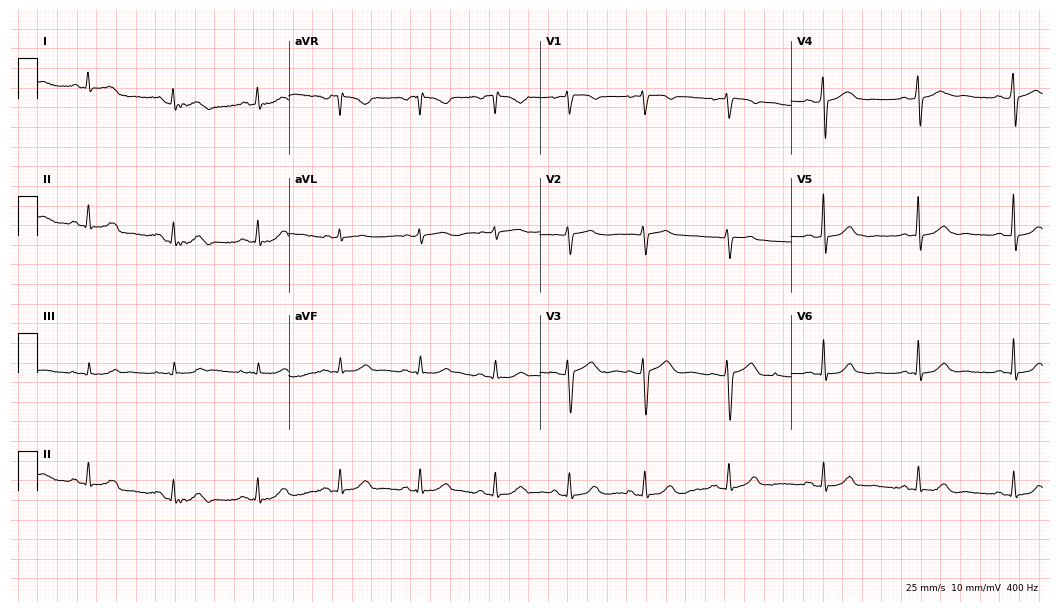
12-lead ECG (10.2-second recording at 400 Hz) from a woman, 40 years old. Labelled as a normal ECG.